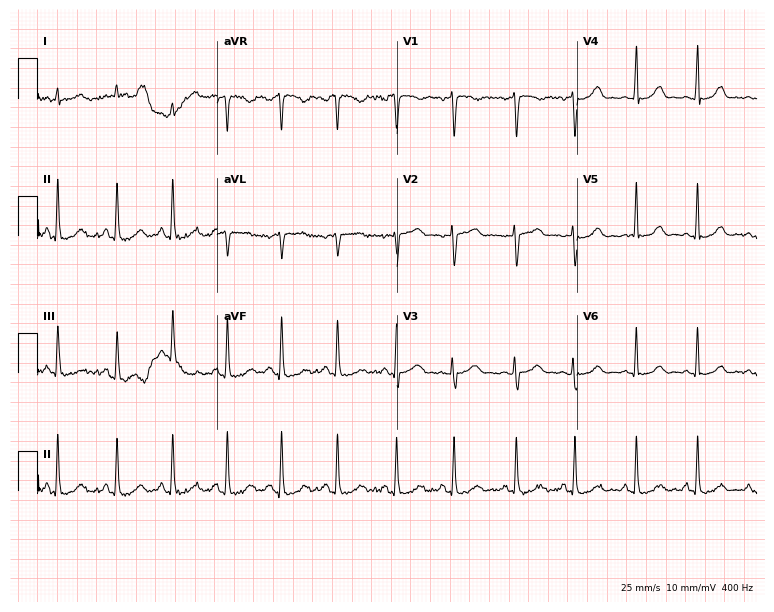
ECG (7.3-second recording at 400 Hz) — a 27-year-old female patient. Screened for six findings — first-degree AV block, right bundle branch block, left bundle branch block, sinus bradycardia, atrial fibrillation, sinus tachycardia — none is recorded. Other findings, if any, are not listed.